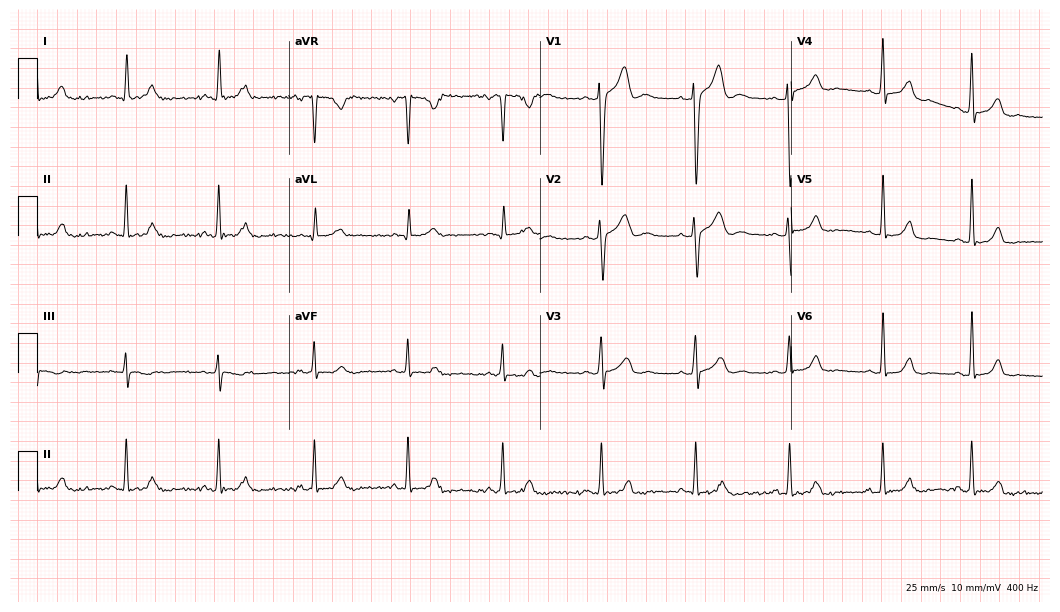
12-lead ECG from a 25-year-old male. Labelled as a normal ECG.